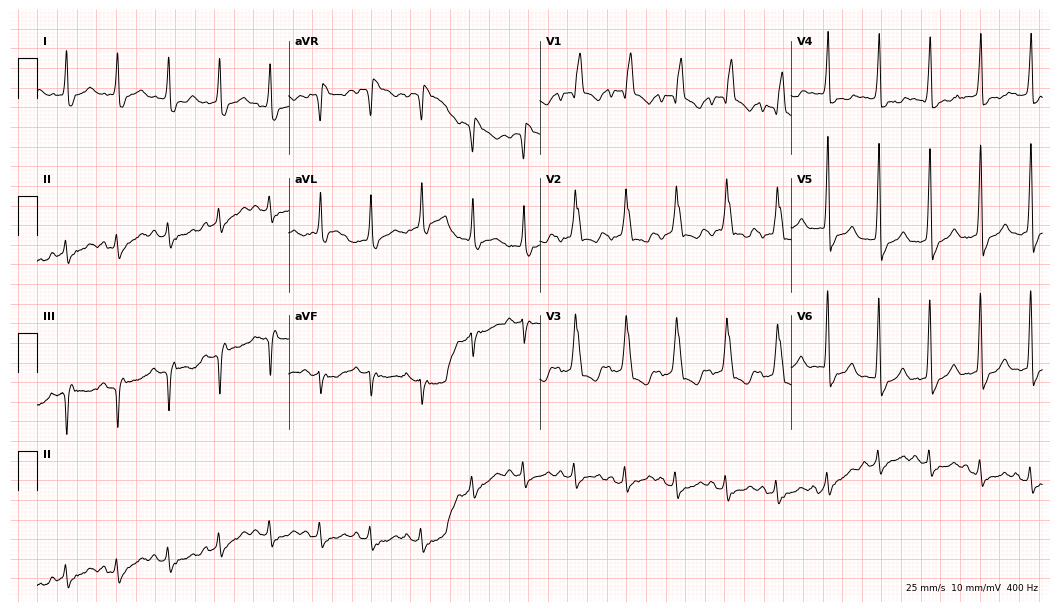
Resting 12-lead electrocardiogram (10.2-second recording at 400 Hz). Patient: a 71-year-old female. None of these six findings is recorded: first-degree AV block, right bundle branch block (RBBB), left bundle branch block (LBBB), sinus bradycardia, atrial fibrillation (AF), sinus tachycardia. Only these six findings were labelled.